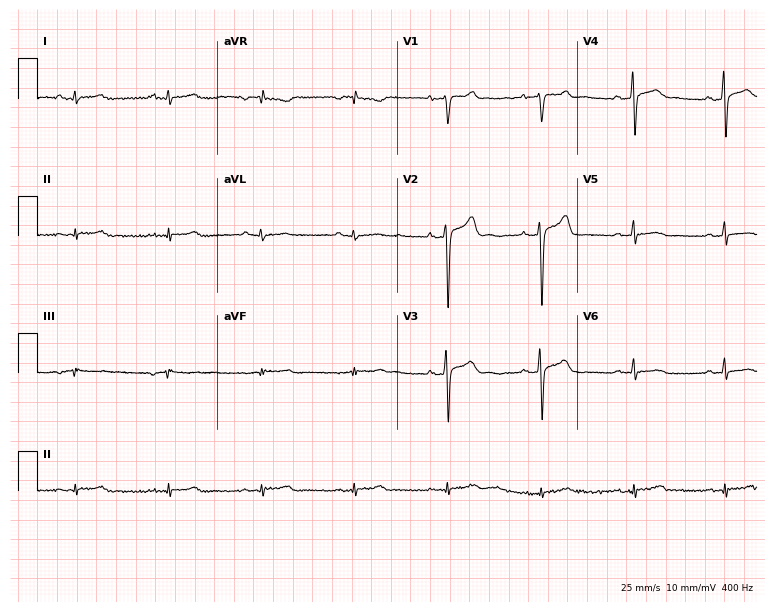
Electrocardiogram, a 45-year-old male patient. Of the six screened findings (first-degree AV block, right bundle branch block, left bundle branch block, sinus bradycardia, atrial fibrillation, sinus tachycardia), none is recorded. Only these six findings were labelled.